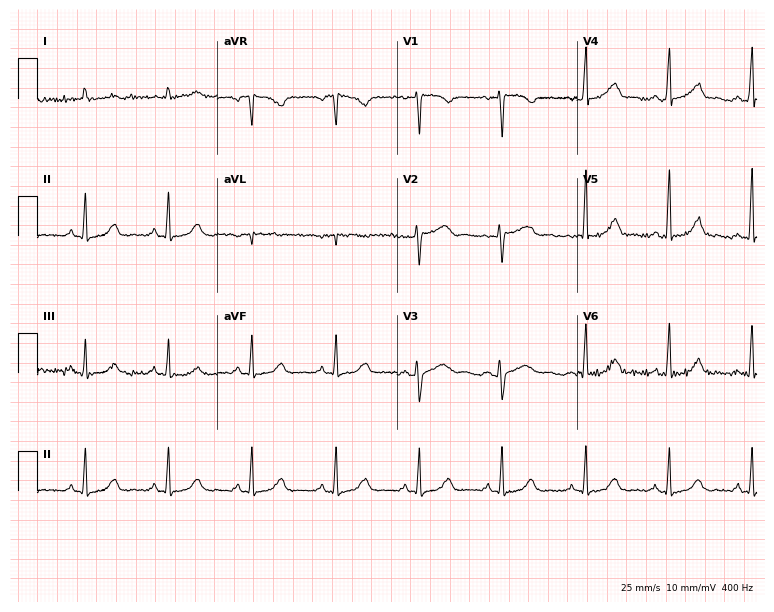
Electrocardiogram (7.3-second recording at 400 Hz), a woman, 60 years old. Overall reading on record: normal ECG.